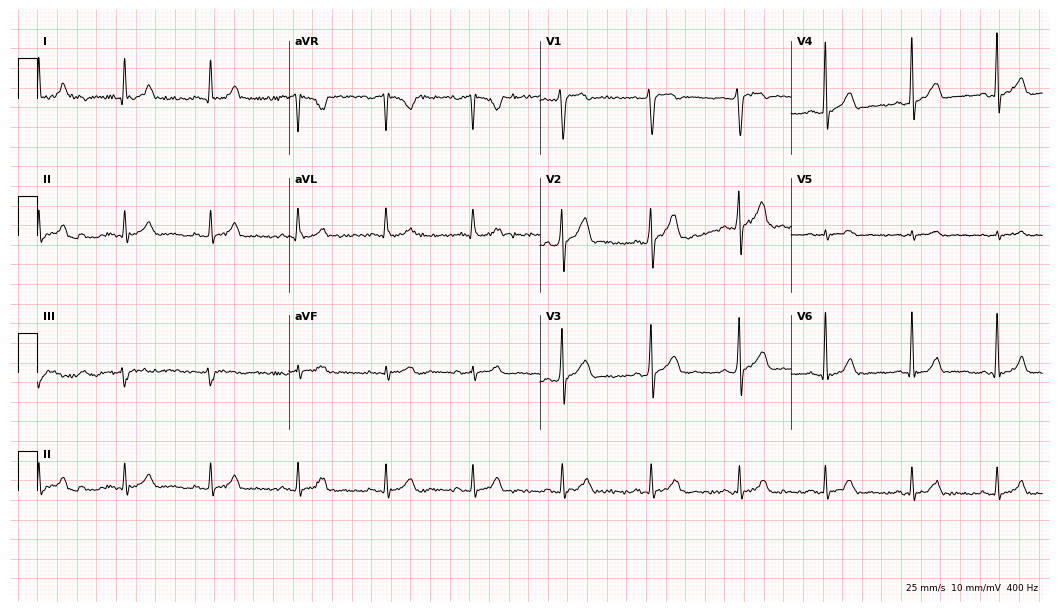
Standard 12-lead ECG recorded from a 45-year-old male patient. Read as a normal ECG.